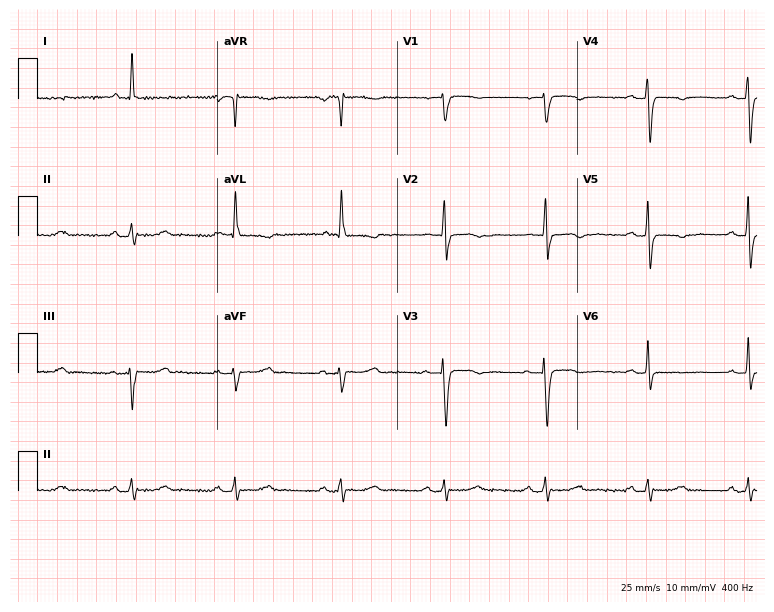
Standard 12-lead ECG recorded from a female, 70 years old. None of these six findings is recorded: first-degree AV block, right bundle branch block (RBBB), left bundle branch block (LBBB), sinus bradycardia, atrial fibrillation (AF), sinus tachycardia.